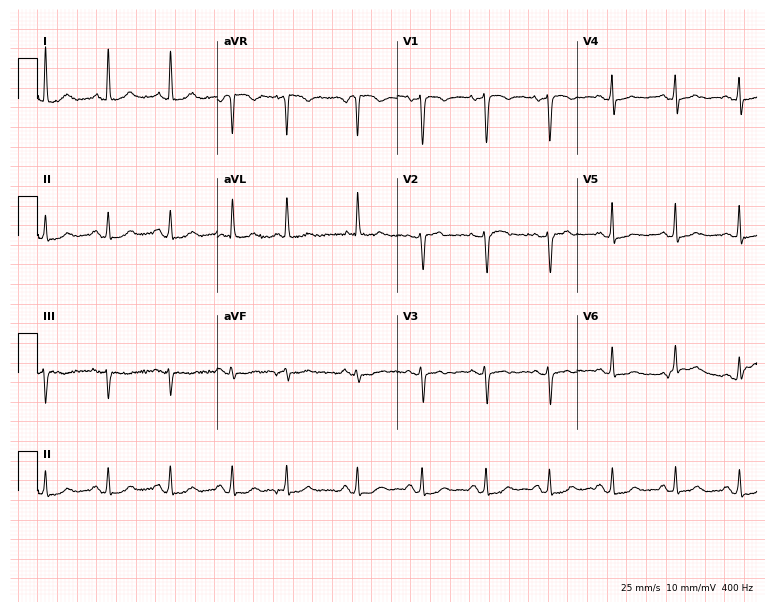
12-lead ECG from a woman, 82 years old. Screened for six findings — first-degree AV block, right bundle branch block, left bundle branch block, sinus bradycardia, atrial fibrillation, sinus tachycardia — none is recorded.